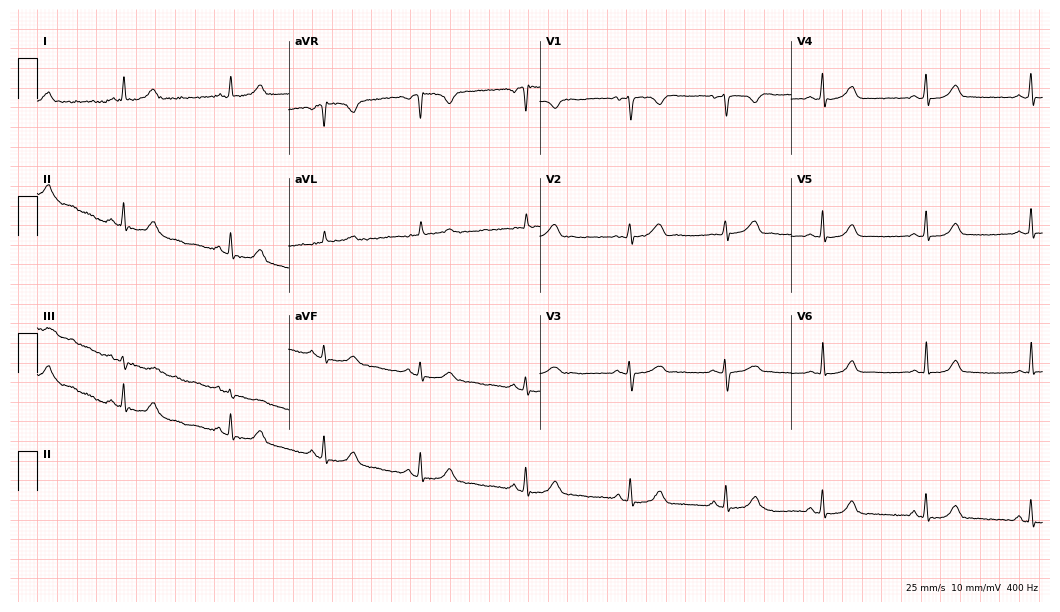
Standard 12-lead ECG recorded from a 24-year-old female. Read as a normal ECG.